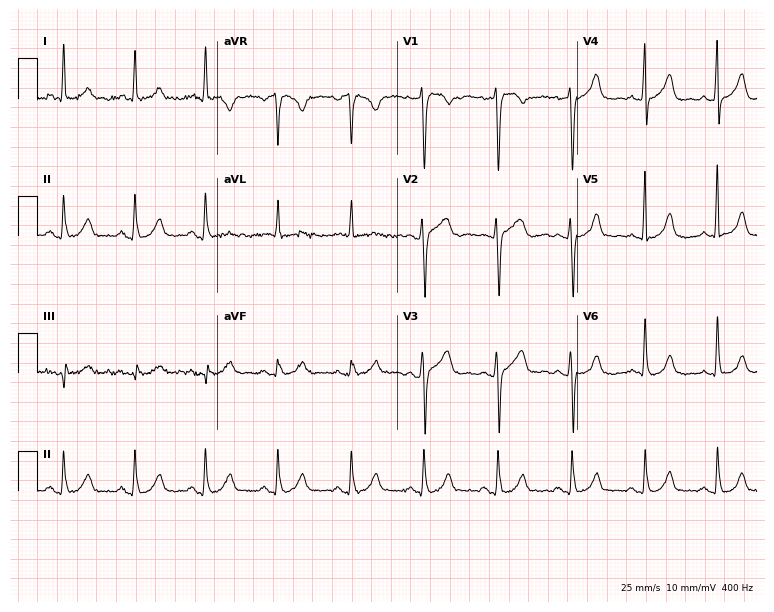
Electrocardiogram (7.3-second recording at 400 Hz), a 35-year-old woman. Of the six screened findings (first-degree AV block, right bundle branch block (RBBB), left bundle branch block (LBBB), sinus bradycardia, atrial fibrillation (AF), sinus tachycardia), none is recorded. Other findings, if any, are not listed.